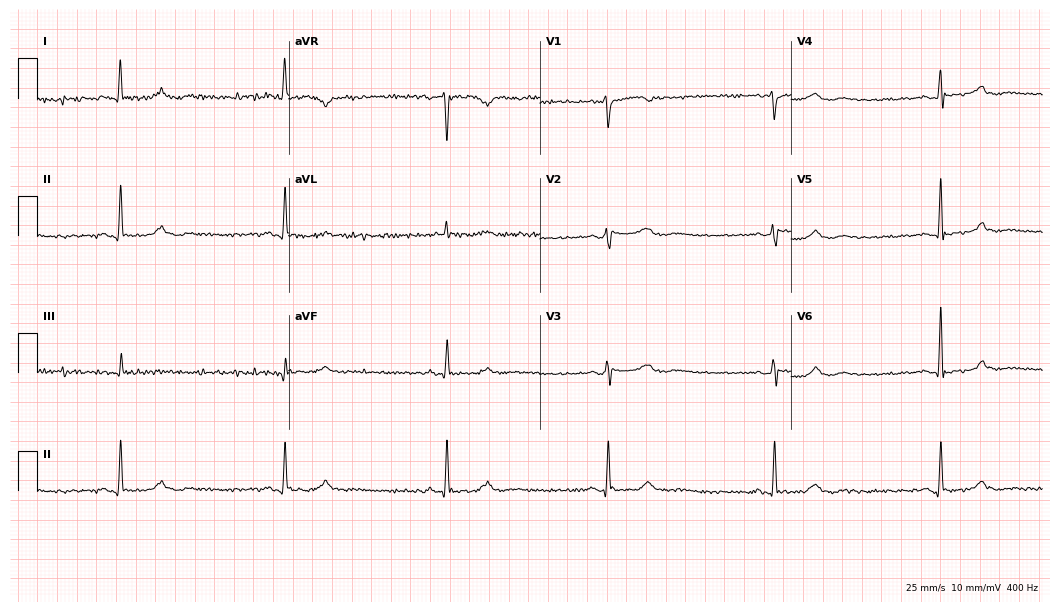
Electrocardiogram, a male, 57 years old. Of the six screened findings (first-degree AV block, right bundle branch block (RBBB), left bundle branch block (LBBB), sinus bradycardia, atrial fibrillation (AF), sinus tachycardia), none is recorded.